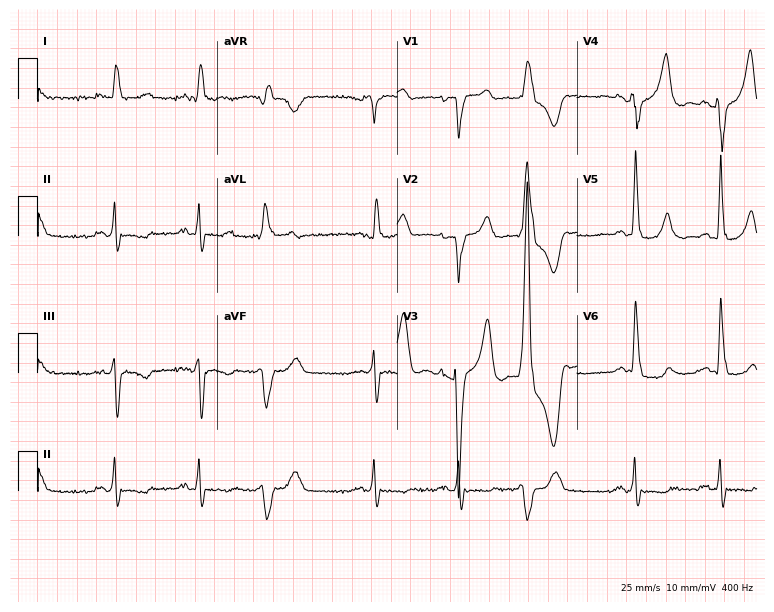
Resting 12-lead electrocardiogram (7.3-second recording at 400 Hz). Patient: a man, 77 years old. The tracing shows left bundle branch block.